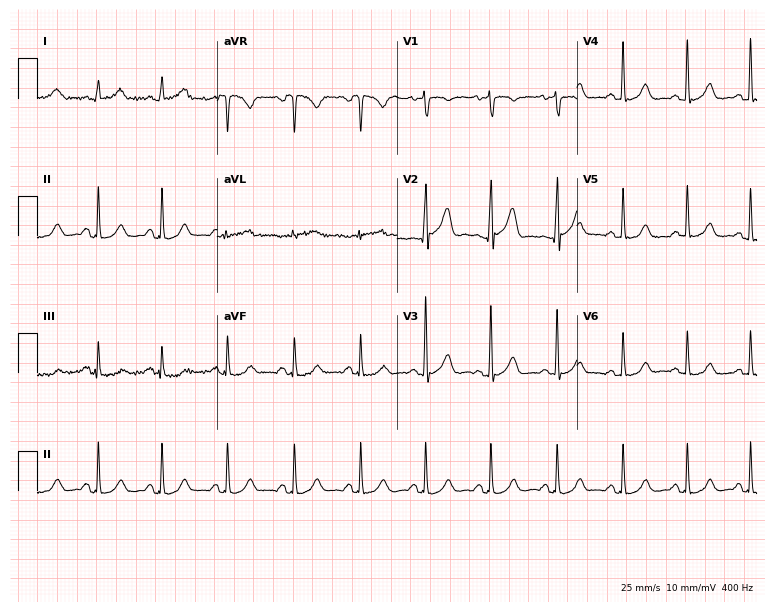
12-lead ECG from a female patient, 35 years old. Labelled as a normal ECG.